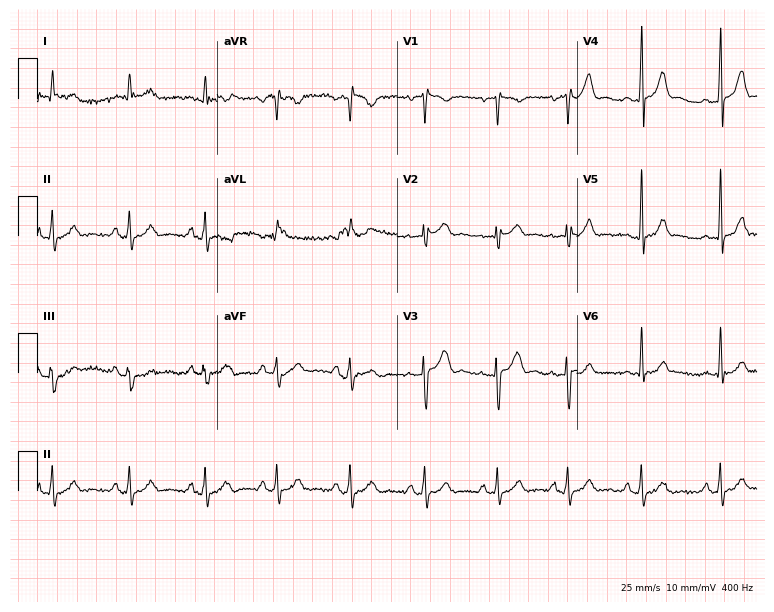
12-lead ECG from a man, 47 years old. No first-degree AV block, right bundle branch block (RBBB), left bundle branch block (LBBB), sinus bradycardia, atrial fibrillation (AF) or sinus tachycardia recorded for this tracing. Findings outside these six are not listed.